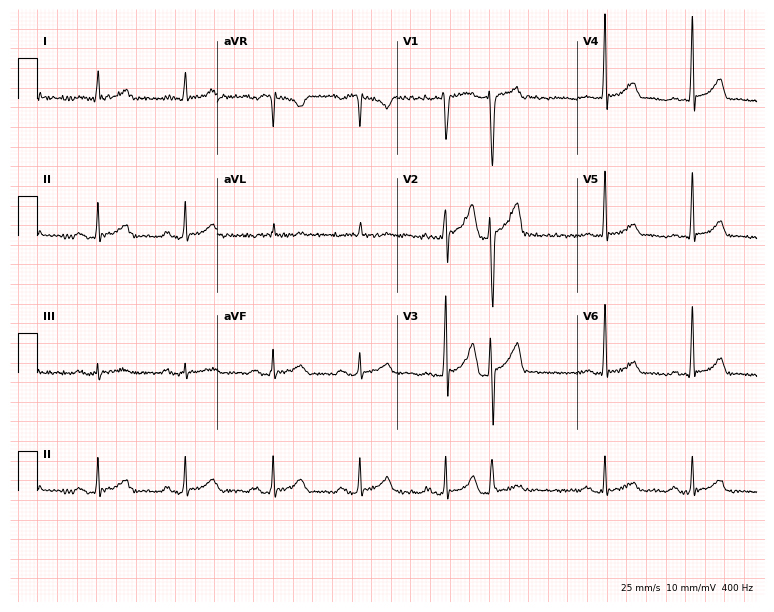
ECG — a 60-year-old man. Screened for six findings — first-degree AV block, right bundle branch block, left bundle branch block, sinus bradycardia, atrial fibrillation, sinus tachycardia — none is recorded.